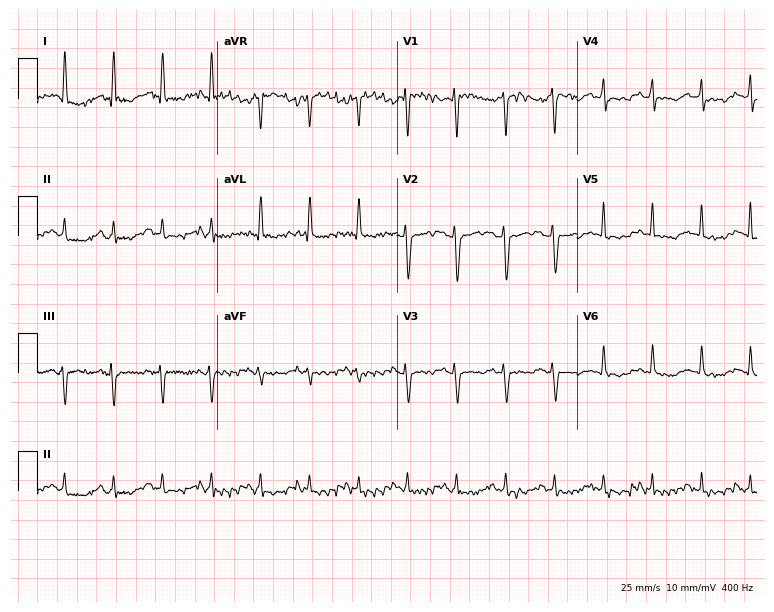
Standard 12-lead ECG recorded from a male patient, 41 years old. None of these six findings is recorded: first-degree AV block, right bundle branch block, left bundle branch block, sinus bradycardia, atrial fibrillation, sinus tachycardia. Other findings, if any, are not listed.